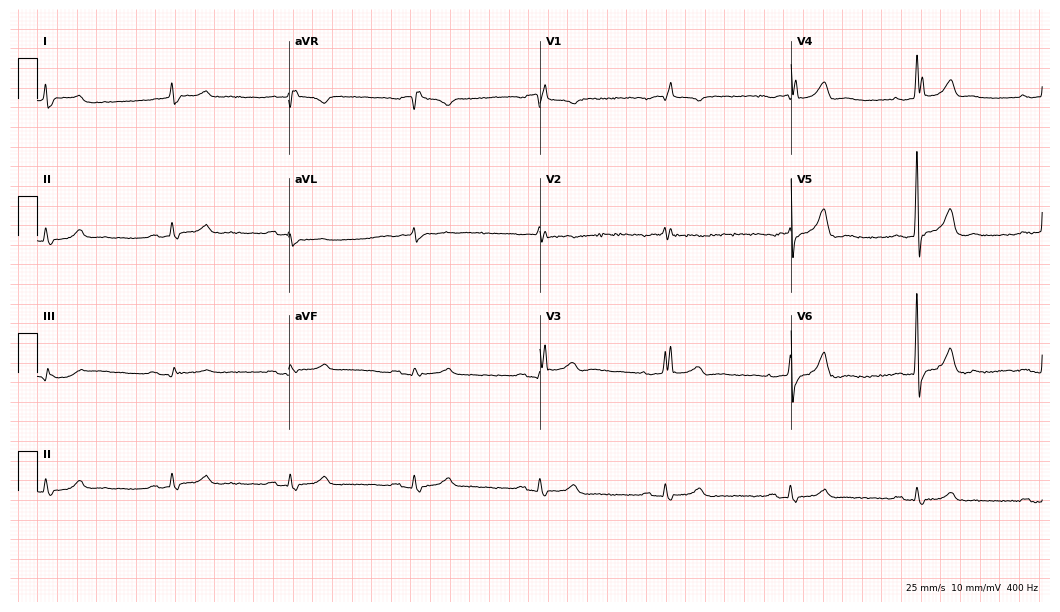
12-lead ECG (10.2-second recording at 400 Hz) from an 80-year-old man. Findings include right bundle branch block, sinus bradycardia (a sinus rate of 50 beats per minute or less).